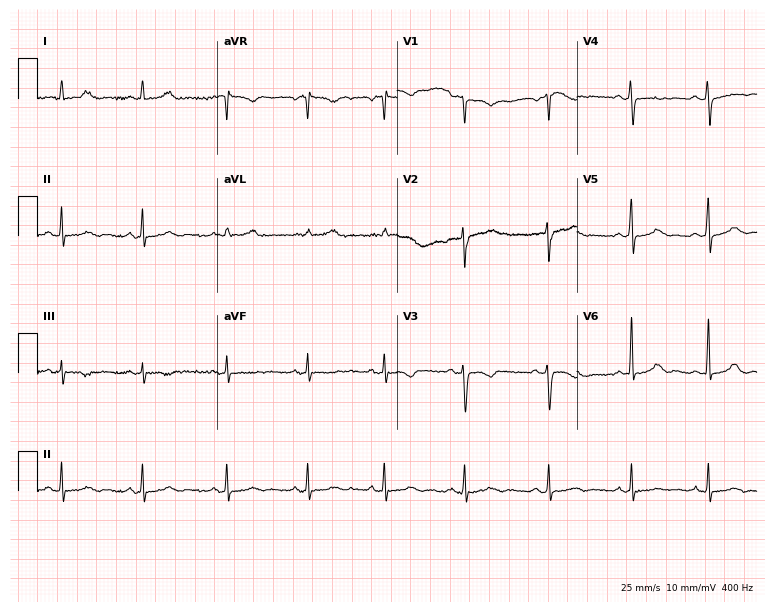
Standard 12-lead ECG recorded from a 30-year-old woman. Read as a normal ECG.